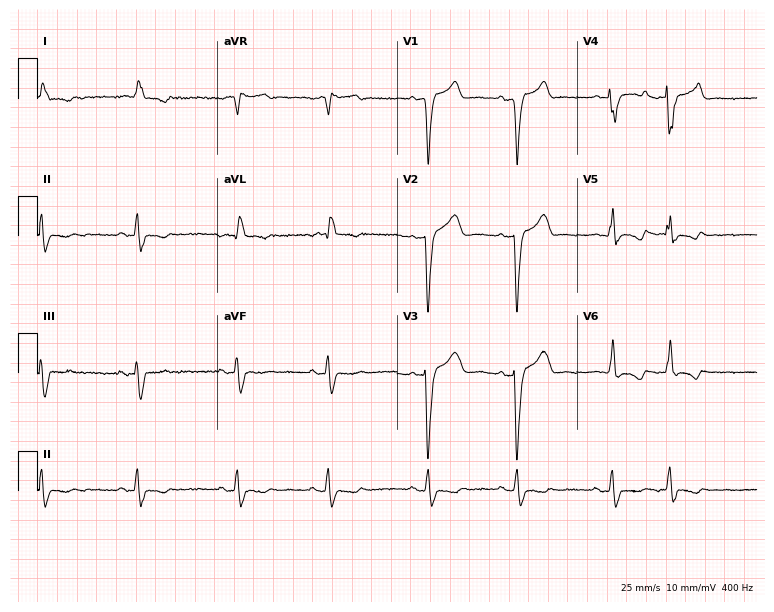
ECG — a 76-year-old man. Screened for six findings — first-degree AV block, right bundle branch block (RBBB), left bundle branch block (LBBB), sinus bradycardia, atrial fibrillation (AF), sinus tachycardia — none is recorded. Only these six findings were labelled.